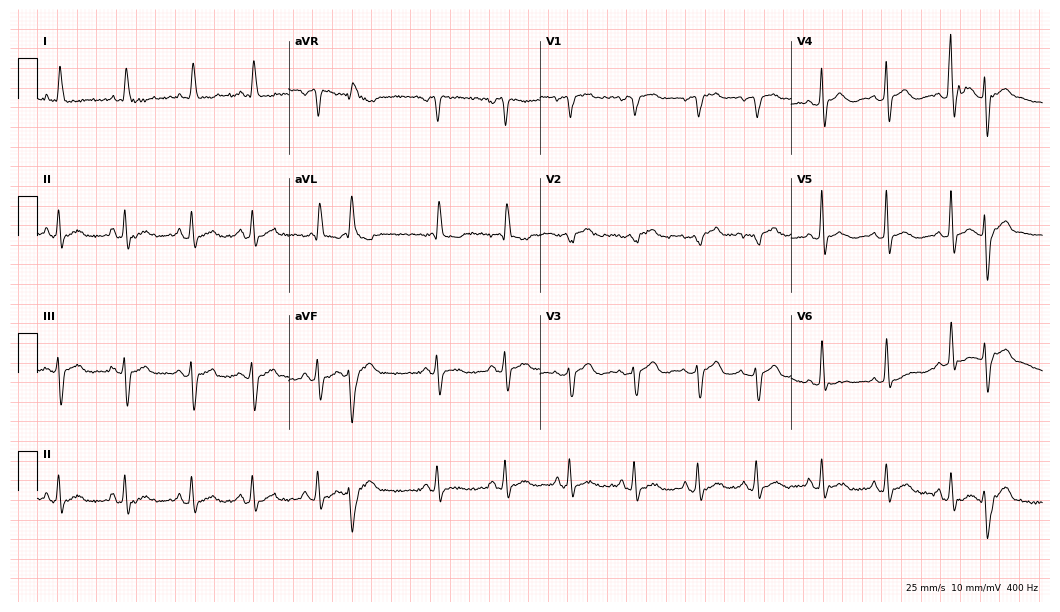
Resting 12-lead electrocardiogram (10.2-second recording at 400 Hz). Patient: a female, 79 years old. None of these six findings is recorded: first-degree AV block, right bundle branch block, left bundle branch block, sinus bradycardia, atrial fibrillation, sinus tachycardia.